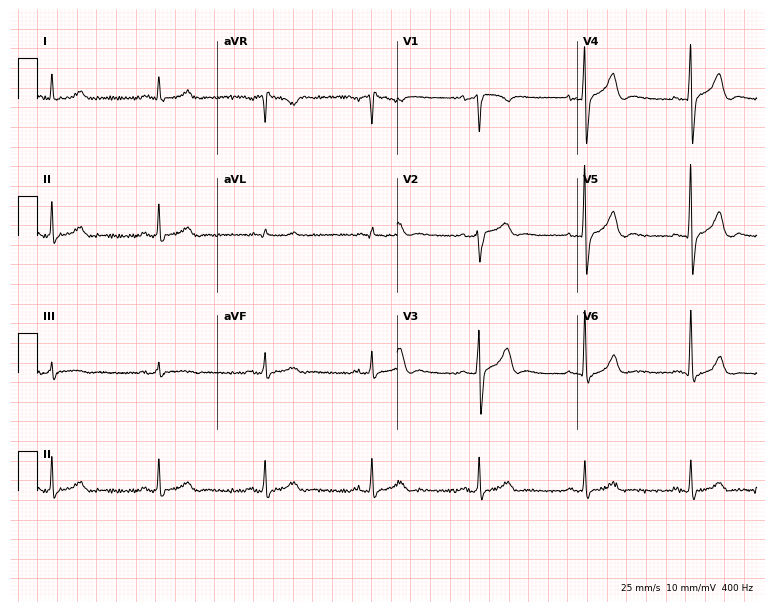
Electrocardiogram (7.3-second recording at 400 Hz), a 51-year-old man. Overall reading on record: normal ECG.